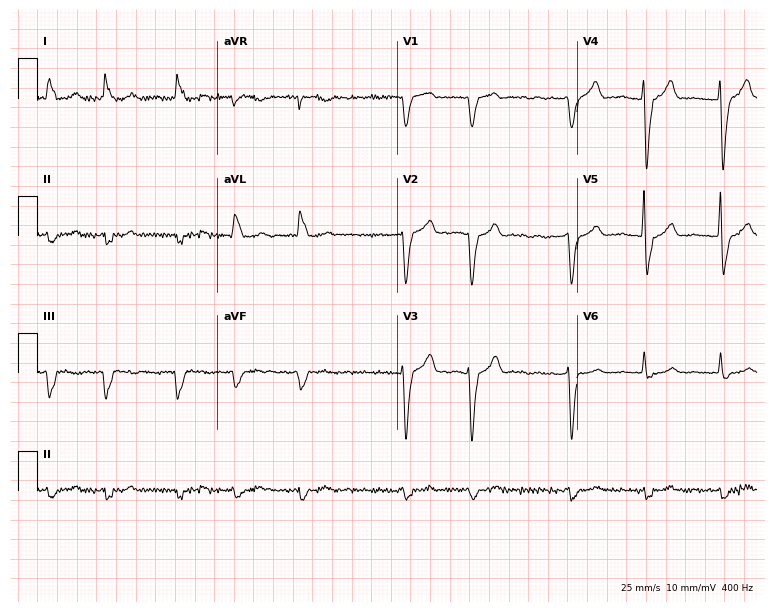
Standard 12-lead ECG recorded from a man, 84 years old (7.3-second recording at 400 Hz). The tracing shows left bundle branch block (LBBB), atrial fibrillation (AF).